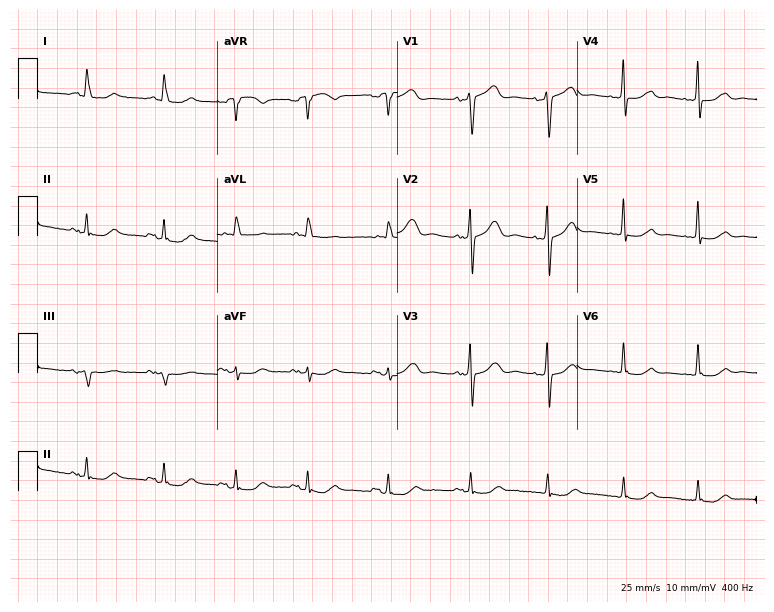
Standard 12-lead ECG recorded from a female, 78 years old. None of these six findings is recorded: first-degree AV block, right bundle branch block, left bundle branch block, sinus bradycardia, atrial fibrillation, sinus tachycardia.